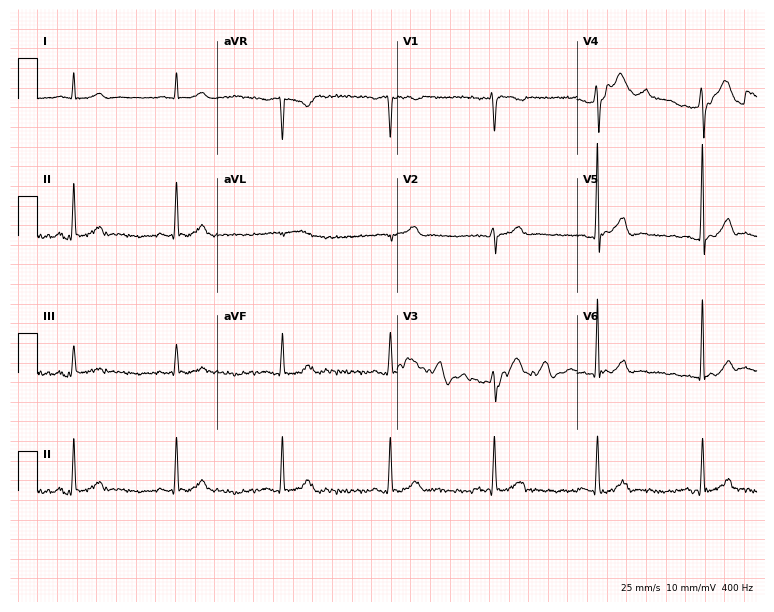
Electrocardiogram (7.3-second recording at 400 Hz), a male, 42 years old. Of the six screened findings (first-degree AV block, right bundle branch block, left bundle branch block, sinus bradycardia, atrial fibrillation, sinus tachycardia), none is recorded.